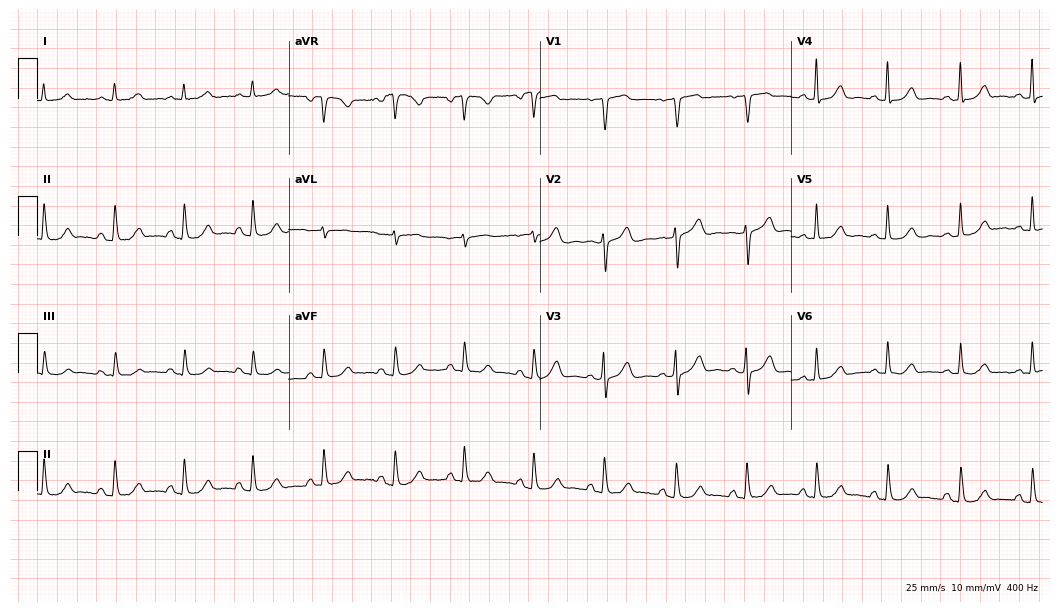
Resting 12-lead electrocardiogram. Patient: a female, 68 years old. Read as a normal ECG.